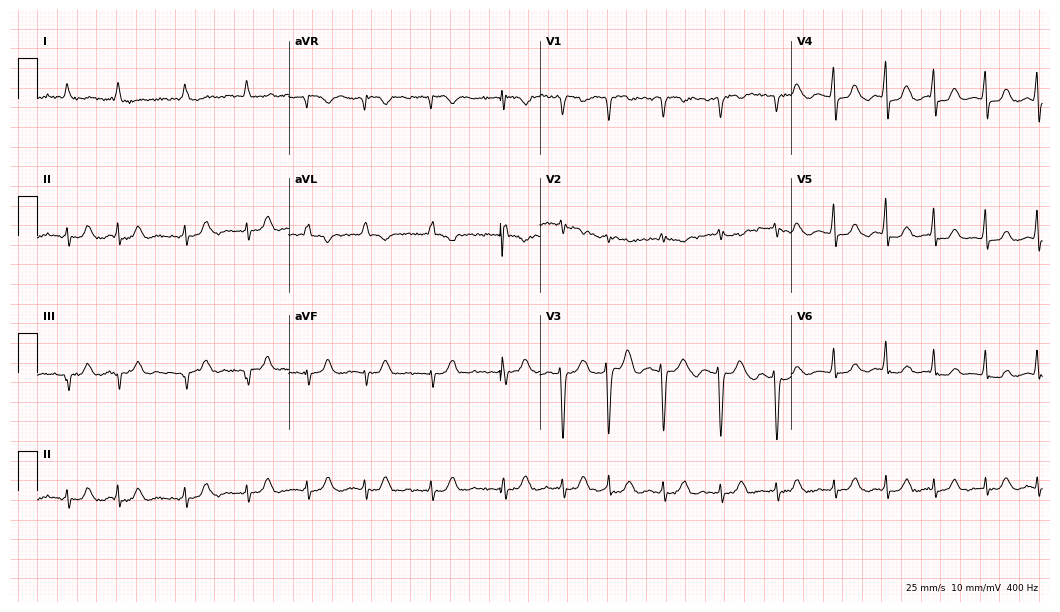
12-lead ECG from a female, 69 years old (10.2-second recording at 400 Hz). Shows atrial fibrillation.